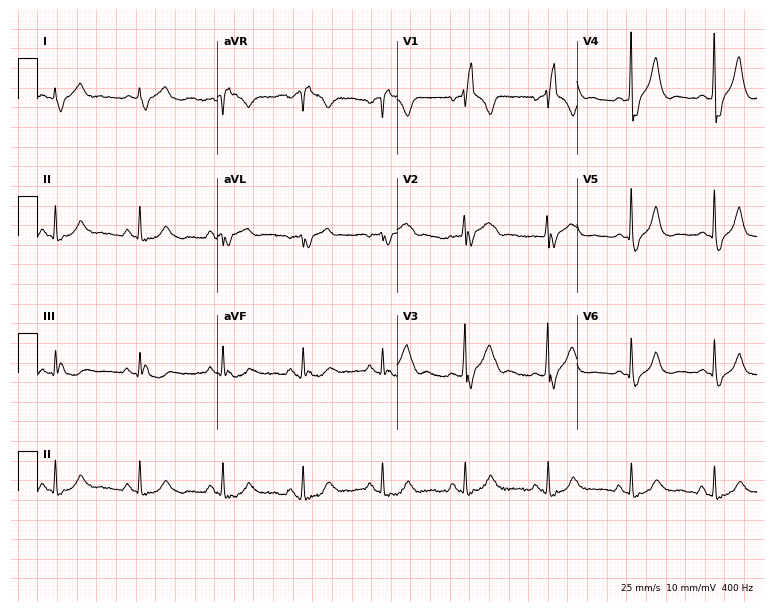
Resting 12-lead electrocardiogram (7.3-second recording at 400 Hz). Patient: a male, 61 years old. The tracing shows right bundle branch block.